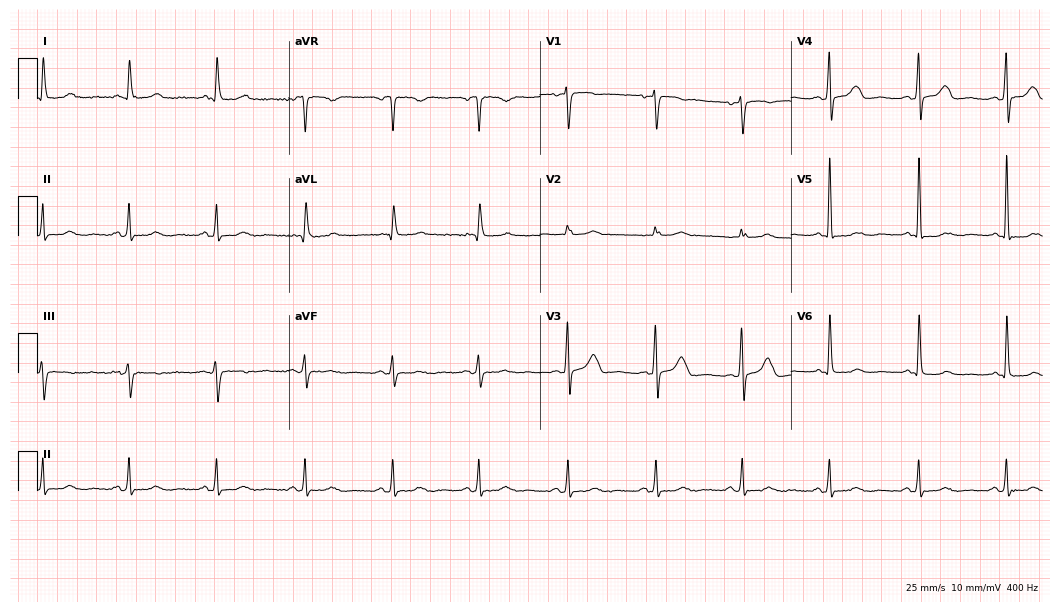
Standard 12-lead ECG recorded from an 81-year-old female patient (10.2-second recording at 400 Hz). None of these six findings is recorded: first-degree AV block, right bundle branch block, left bundle branch block, sinus bradycardia, atrial fibrillation, sinus tachycardia. Only these six findings were labelled.